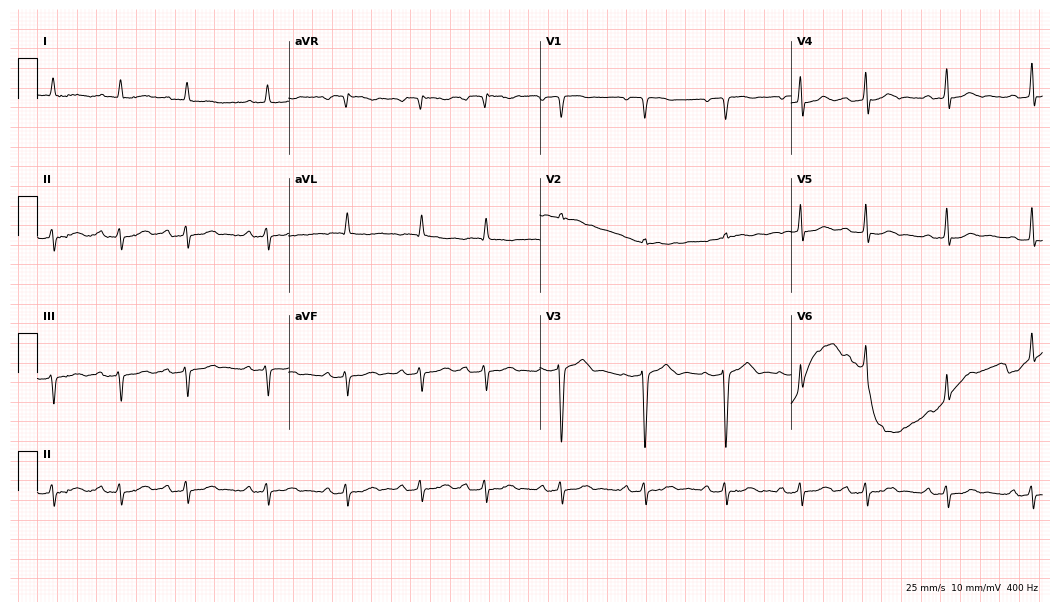
ECG (10.2-second recording at 400 Hz) — an 85-year-old female. Screened for six findings — first-degree AV block, right bundle branch block, left bundle branch block, sinus bradycardia, atrial fibrillation, sinus tachycardia — none is recorded. Only these six findings were labelled.